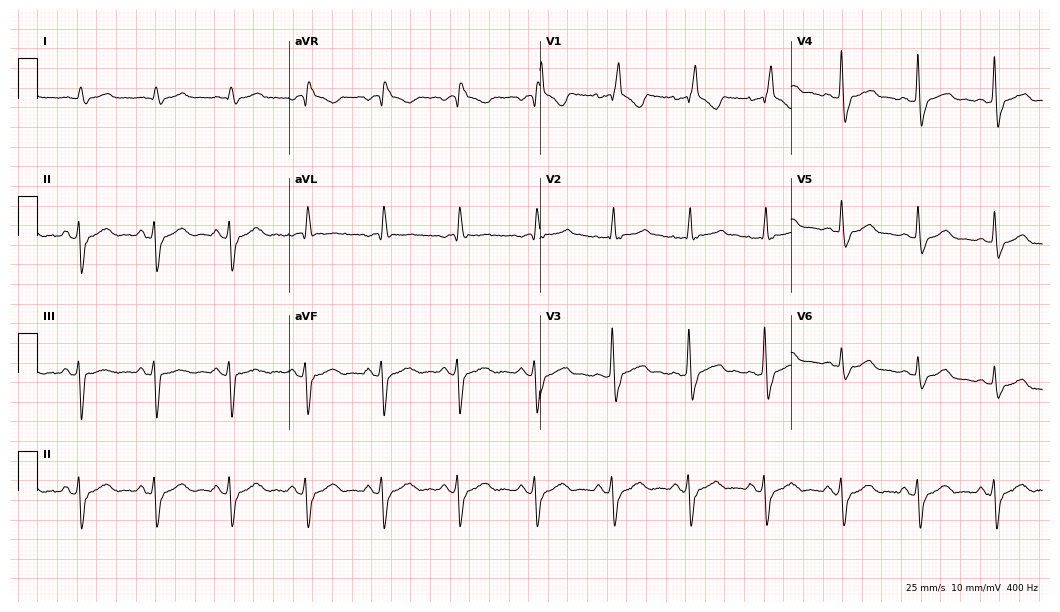
12-lead ECG from a man, 86 years old (10.2-second recording at 400 Hz). Shows right bundle branch block.